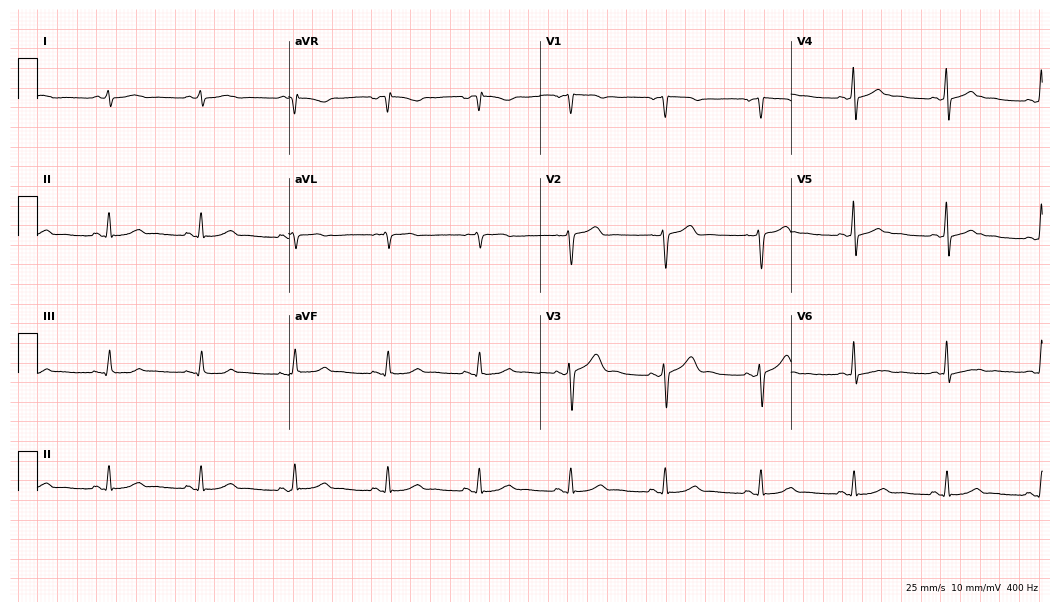
Standard 12-lead ECG recorded from a male, 44 years old (10.2-second recording at 400 Hz). None of these six findings is recorded: first-degree AV block, right bundle branch block, left bundle branch block, sinus bradycardia, atrial fibrillation, sinus tachycardia.